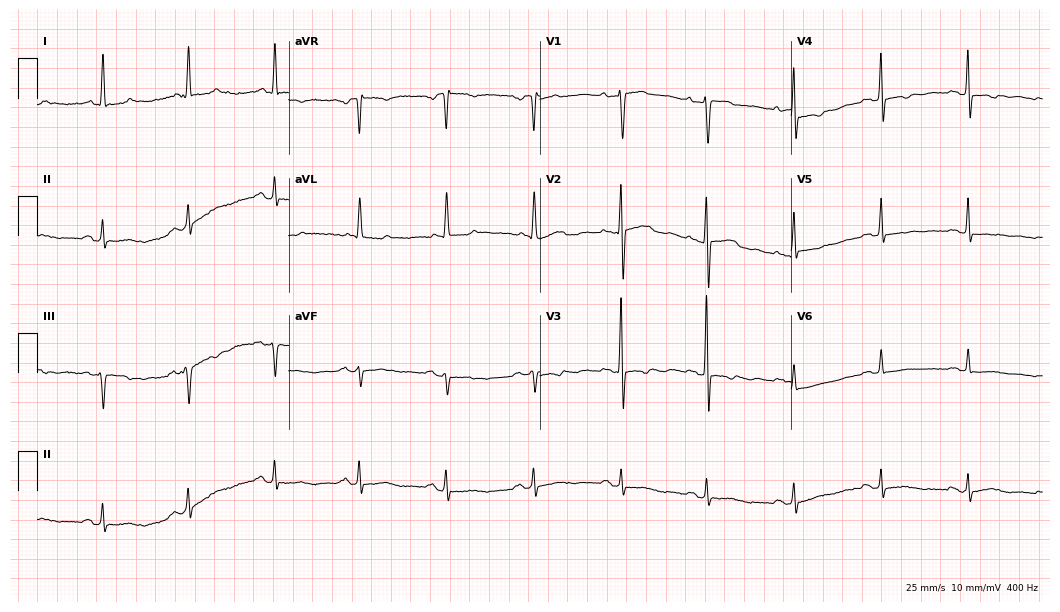
ECG — a 65-year-old female. Screened for six findings — first-degree AV block, right bundle branch block (RBBB), left bundle branch block (LBBB), sinus bradycardia, atrial fibrillation (AF), sinus tachycardia — none is recorded.